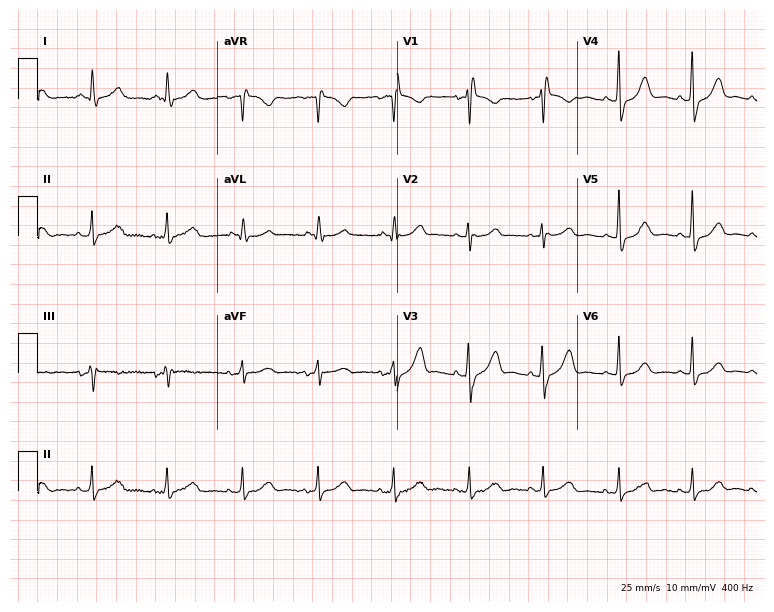
12-lead ECG from a man, 69 years old. Screened for six findings — first-degree AV block, right bundle branch block (RBBB), left bundle branch block (LBBB), sinus bradycardia, atrial fibrillation (AF), sinus tachycardia — none is recorded. Other findings, if any, are not listed.